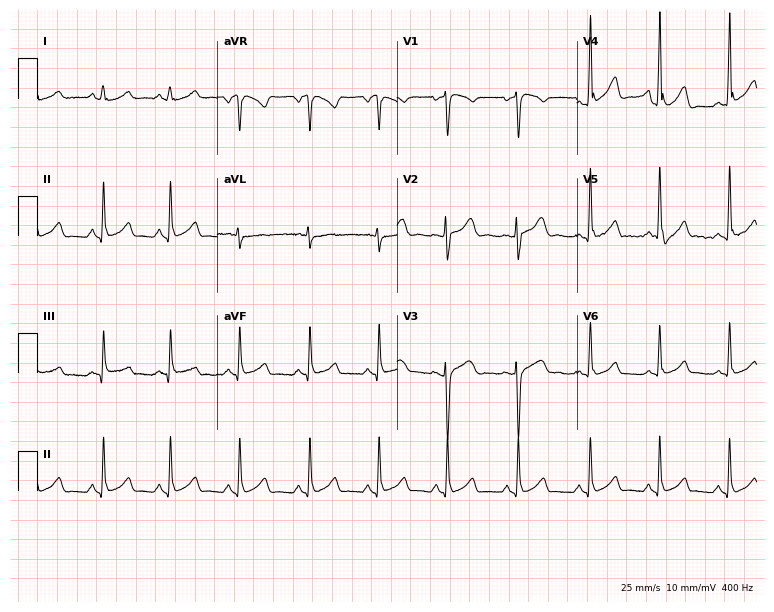
12-lead ECG from a 24-year-old woman. Screened for six findings — first-degree AV block, right bundle branch block, left bundle branch block, sinus bradycardia, atrial fibrillation, sinus tachycardia — none is recorded.